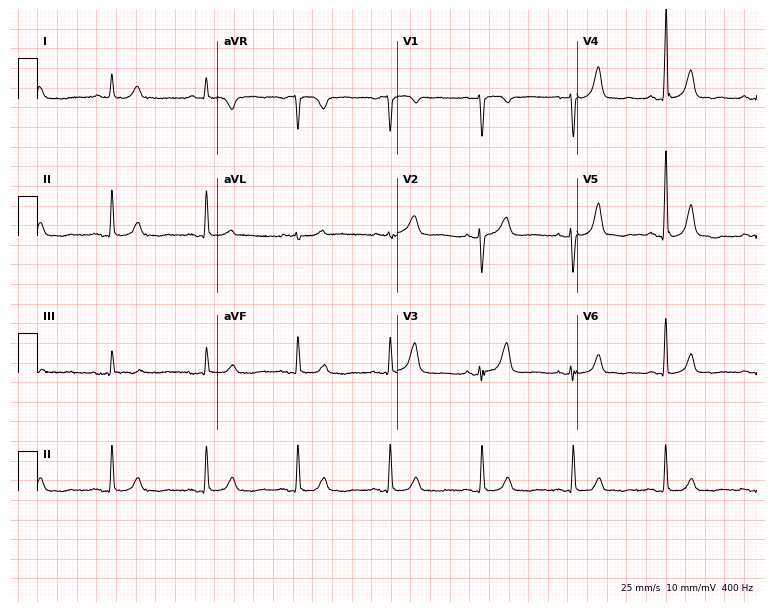
Resting 12-lead electrocardiogram (7.3-second recording at 400 Hz). Patient: a 50-year-old female. None of these six findings is recorded: first-degree AV block, right bundle branch block, left bundle branch block, sinus bradycardia, atrial fibrillation, sinus tachycardia. Only these six findings were labelled.